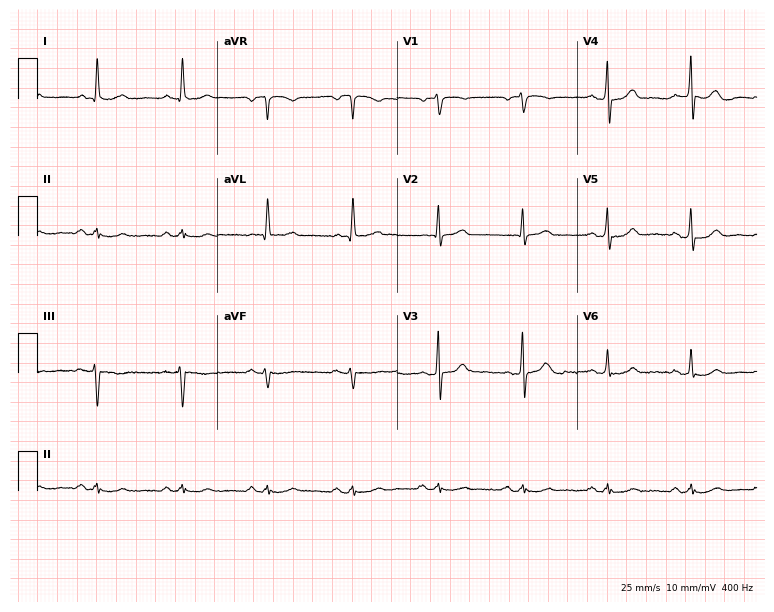
Standard 12-lead ECG recorded from a male, 81 years old (7.3-second recording at 400 Hz). Read as a normal ECG.